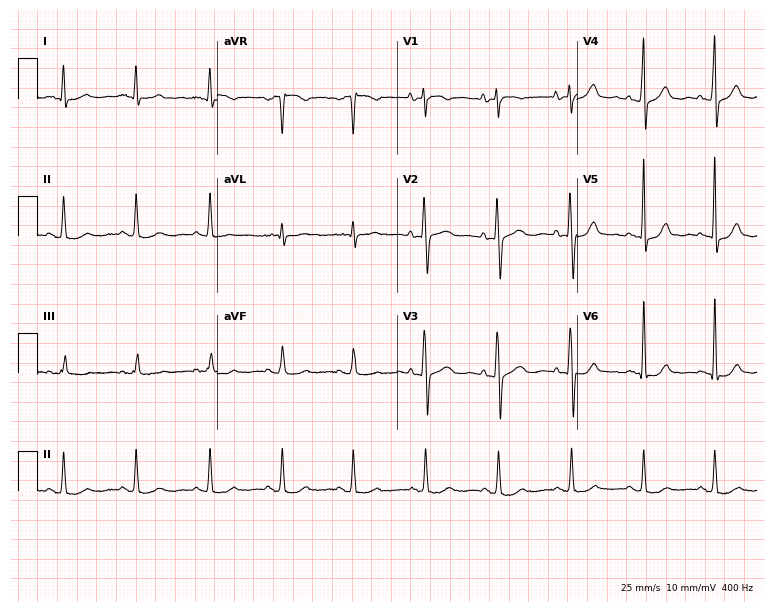
Standard 12-lead ECG recorded from a 60-year-old woman. None of these six findings is recorded: first-degree AV block, right bundle branch block, left bundle branch block, sinus bradycardia, atrial fibrillation, sinus tachycardia. Other findings, if any, are not listed.